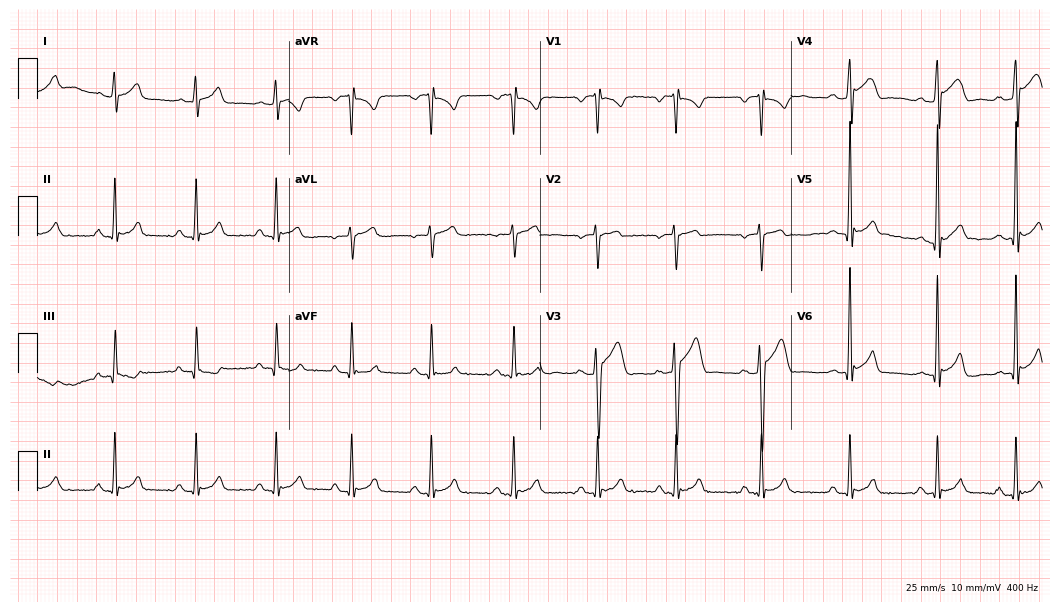
12-lead ECG from a 19-year-old man. Labelled as a normal ECG.